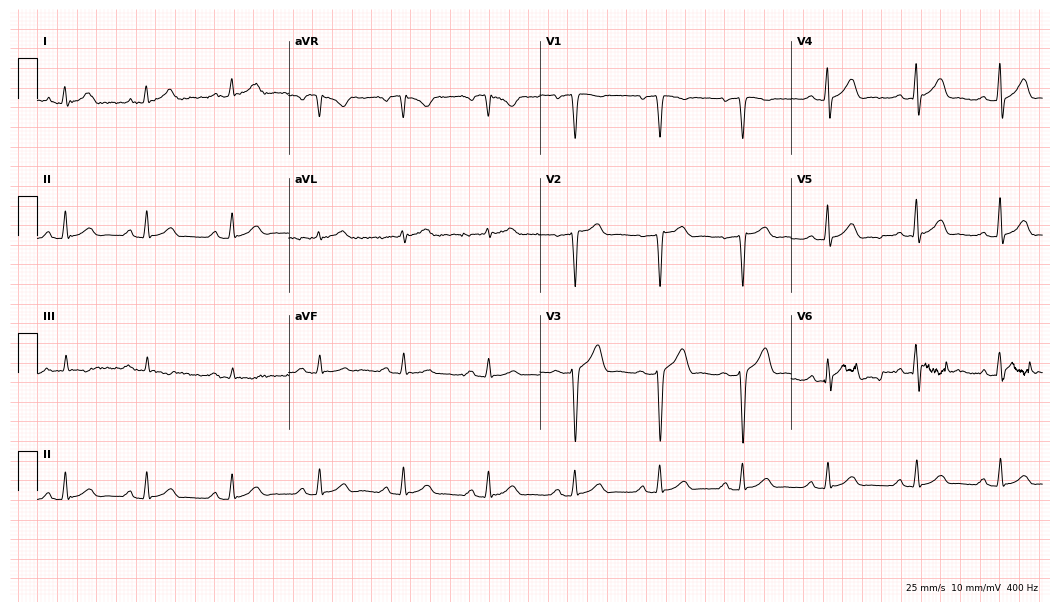
12-lead ECG from a male, 44 years old. Screened for six findings — first-degree AV block, right bundle branch block, left bundle branch block, sinus bradycardia, atrial fibrillation, sinus tachycardia — none is recorded.